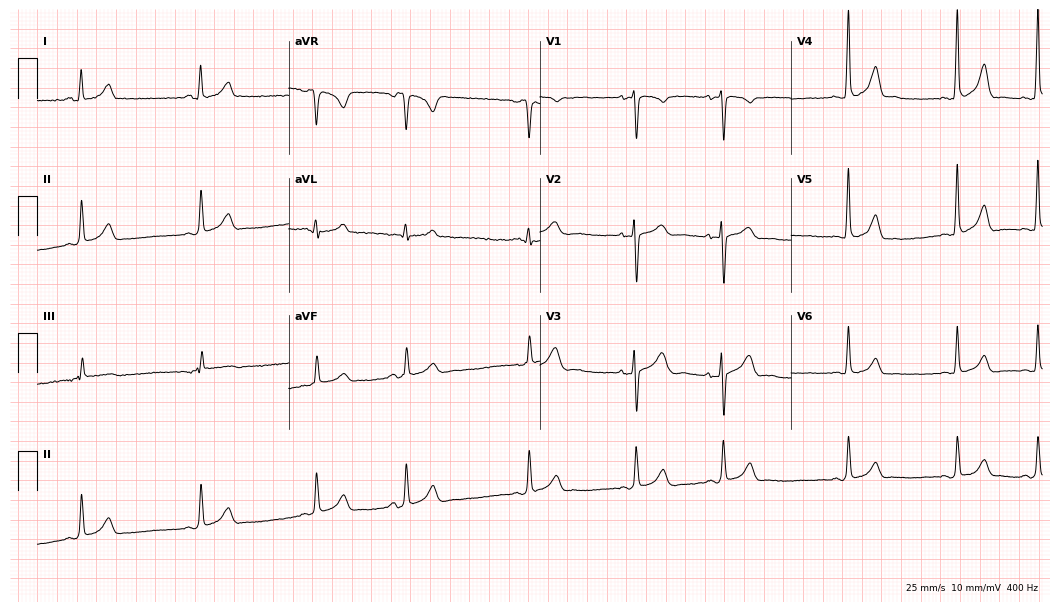
ECG (10.2-second recording at 400 Hz) — a 27-year-old female patient. Labelled as a normal ECG.